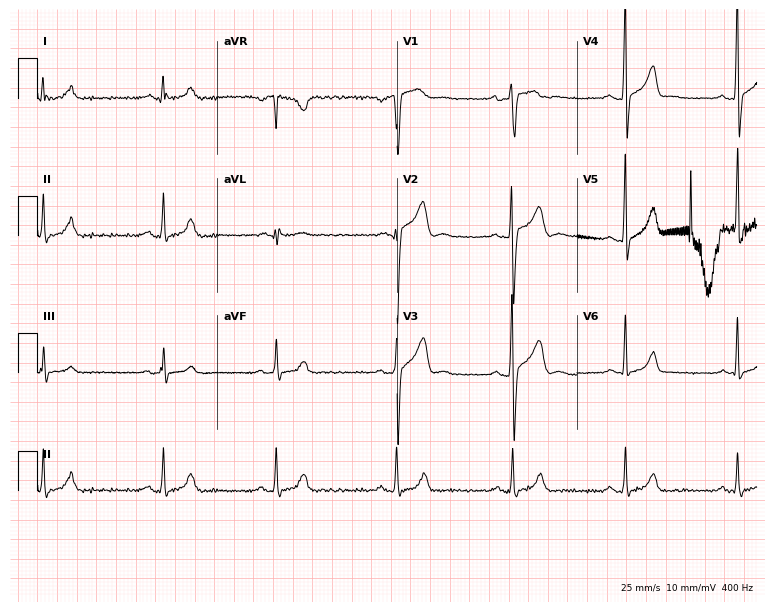
Standard 12-lead ECG recorded from a 22-year-old male. None of these six findings is recorded: first-degree AV block, right bundle branch block (RBBB), left bundle branch block (LBBB), sinus bradycardia, atrial fibrillation (AF), sinus tachycardia.